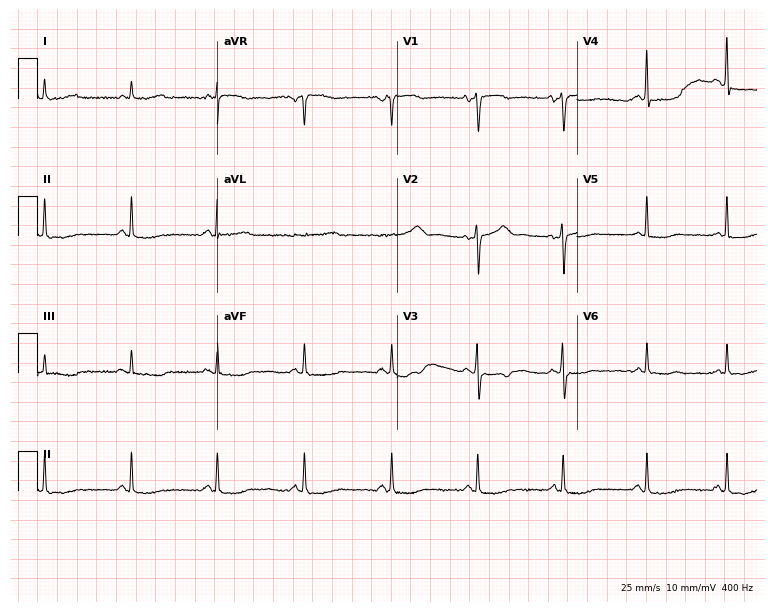
Electrocardiogram (7.3-second recording at 400 Hz), a female, 85 years old. Of the six screened findings (first-degree AV block, right bundle branch block, left bundle branch block, sinus bradycardia, atrial fibrillation, sinus tachycardia), none is recorded.